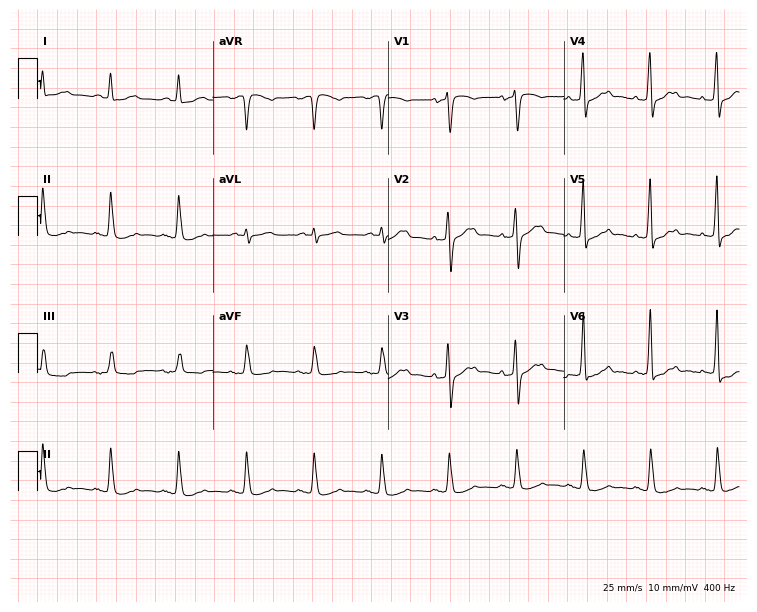
Electrocardiogram, a 69-year-old man. Of the six screened findings (first-degree AV block, right bundle branch block (RBBB), left bundle branch block (LBBB), sinus bradycardia, atrial fibrillation (AF), sinus tachycardia), none is recorded. Only these six findings were labelled.